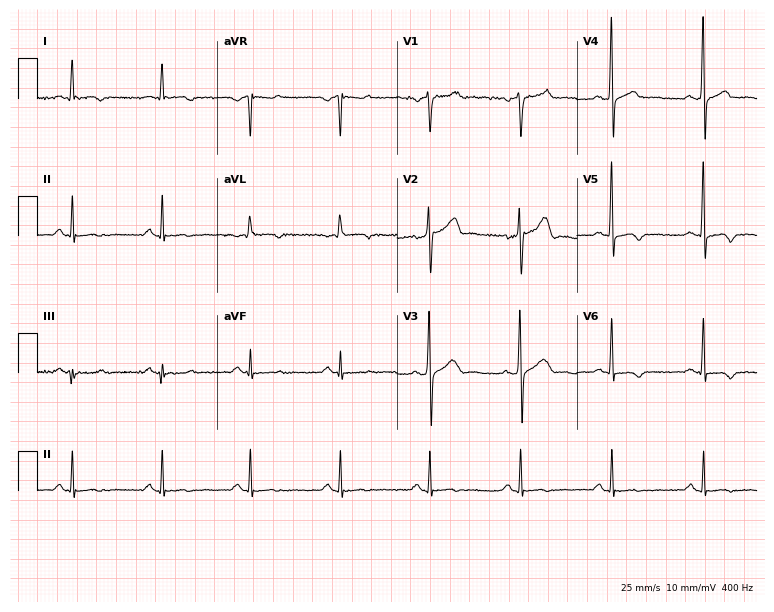
Resting 12-lead electrocardiogram. Patient: a male, 48 years old. None of these six findings is recorded: first-degree AV block, right bundle branch block, left bundle branch block, sinus bradycardia, atrial fibrillation, sinus tachycardia. Other findings, if any, are not listed.